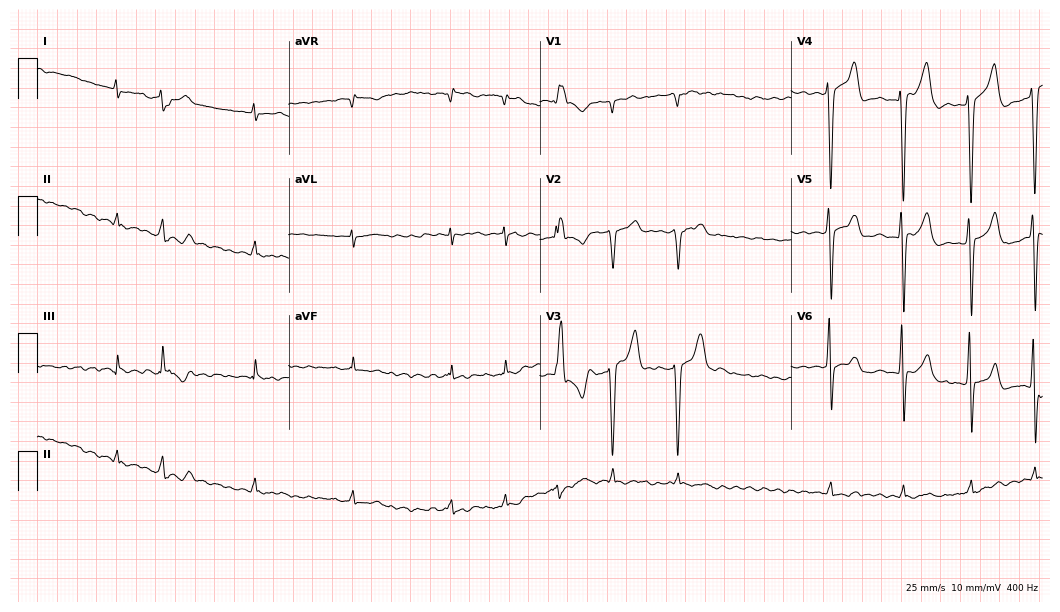
12-lead ECG from a male patient, 78 years old. Shows atrial fibrillation.